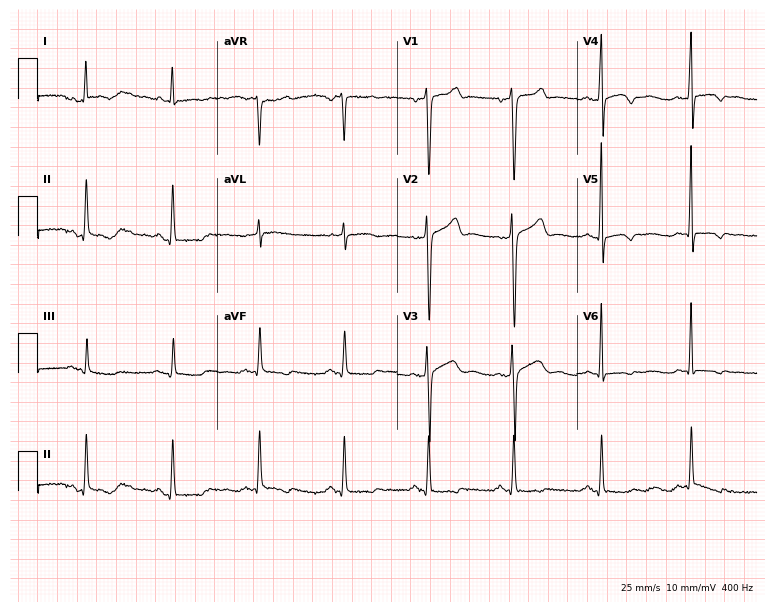
Resting 12-lead electrocardiogram (7.3-second recording at 400 Hz). Patient: a male, 50 years old. None of these six findings is recorded: first-degree AV block, right bundle branch block, left bundle branch block, sinus bradycardia, atrial fibrillation, sinus tachycardia. Findings outside these six are not listed.